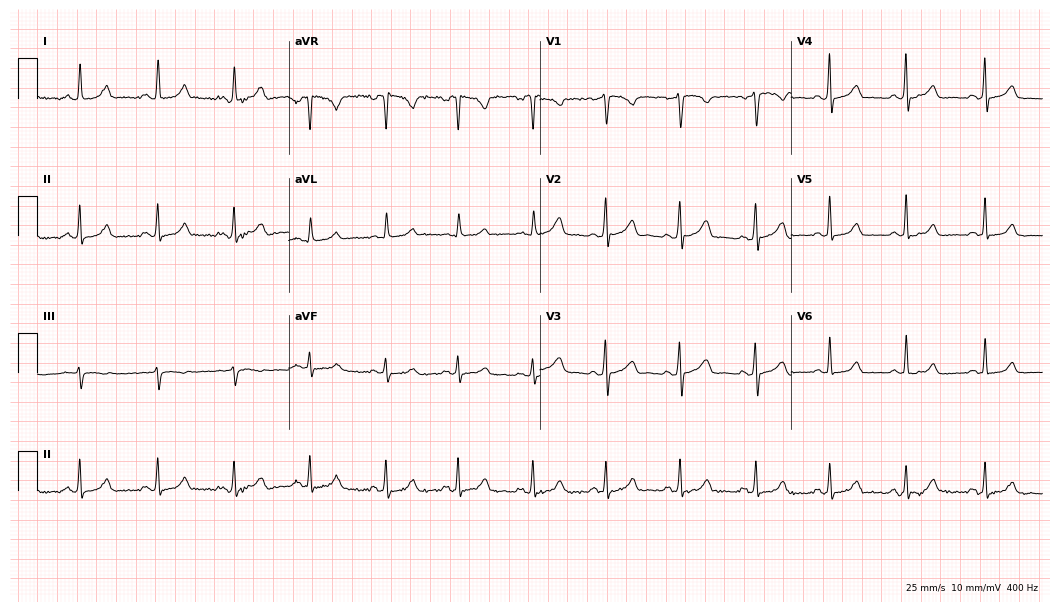
Resting 12-lead electrocardiogram. Patient: a 40-year-old female. Read as a normal ECG.